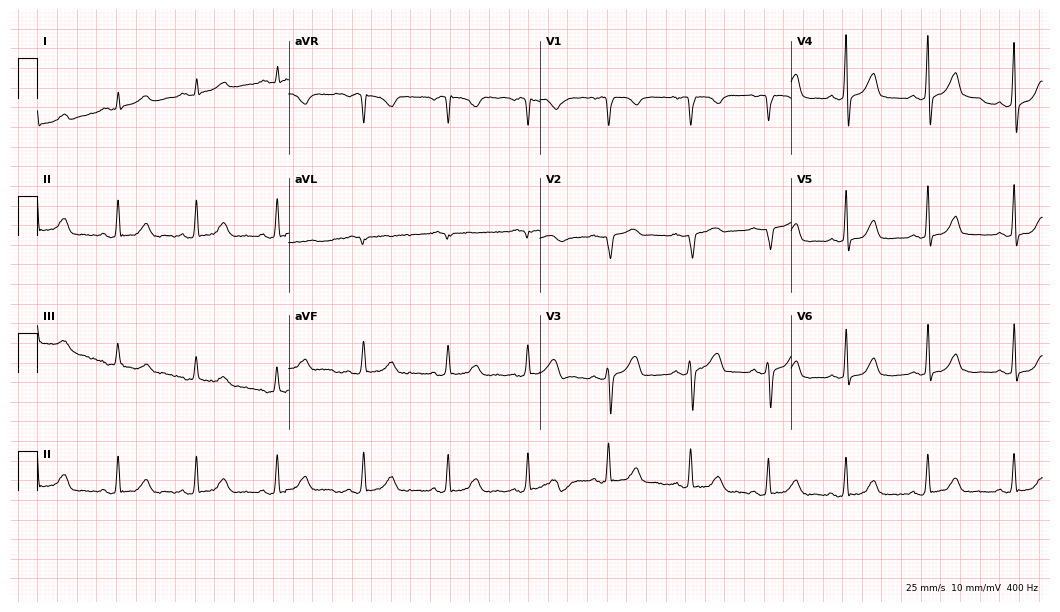
Resting 12-lead electrocardiogram. Patient: a female, 32 years old. None of these six findings is recorded: first-degree AV block, right bundle branch block, left bundle branch block, sinus bradycardia, atrial fibrillation, sinus tachycardia. Other findings, if any, are not listed.